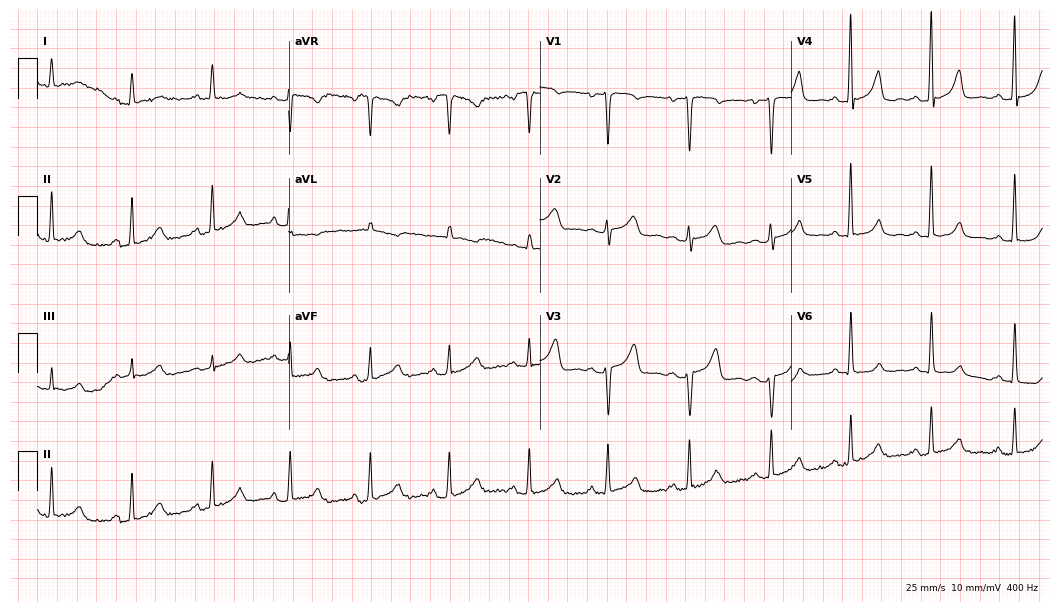
12-lead ECG from a 51-year-old female patient. No first-degree AV block, right bundle branch block (RBBB), left bundle branch block (LBBB), sinus bradycardia, atrial fibrillation (AF) or sinus tachycardia recorded for this tracing.